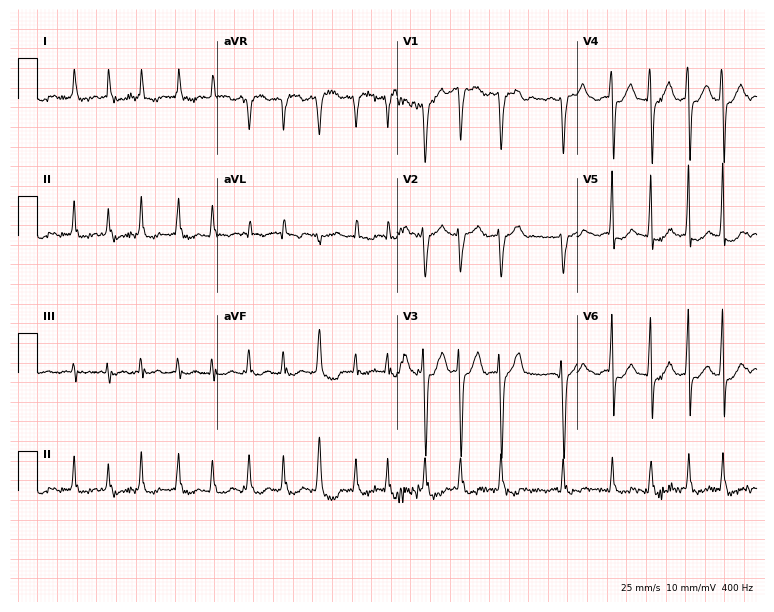
12-lead ECG from a 63-year-old man. Findings include atrial fibrillation.